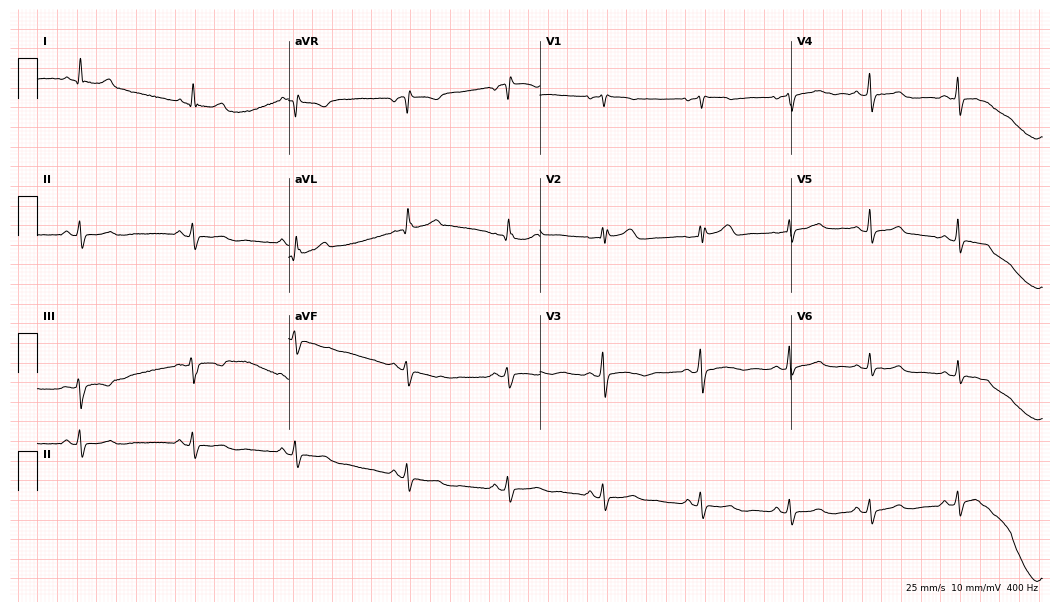
Standard 12-lead ECG recorded from a female, 52 years old. None of these six findings is recorded: first-degree AV block, right bundle branch block, left bundle branch block, sinus bradycardia, atrial fibrillation, sinus tachycardia. Findings outside these six are not listed.